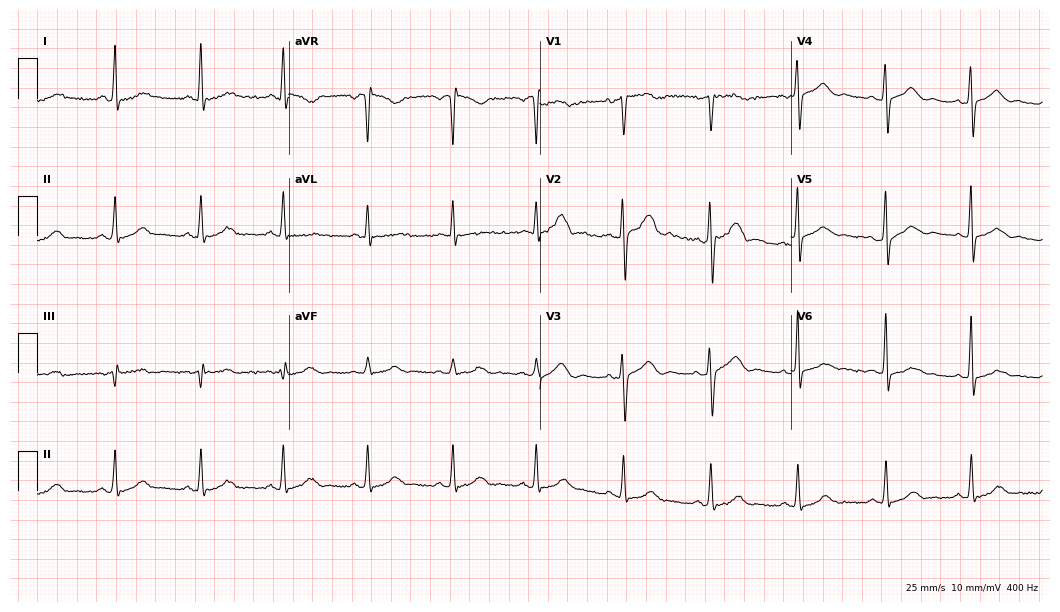
Standard 12-lead ECG recorded from a female patient, 33 years old (10.2-second recording at 400 Hz). Read as a normal ECG.